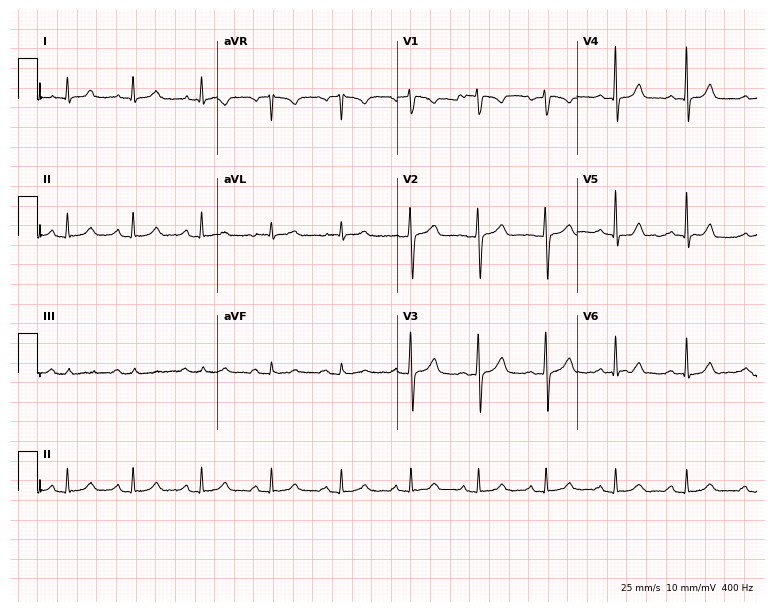
Resting 12-lead electrocardiogram (7.3-second recording at 400 Hz). Patient: a 63-year-old female. None of these six findings is recorded: first-degree AV block, right bundle branch block, left bundle branch block, sinus bradycardia, atrial fibrillation, sinus tachycardia.